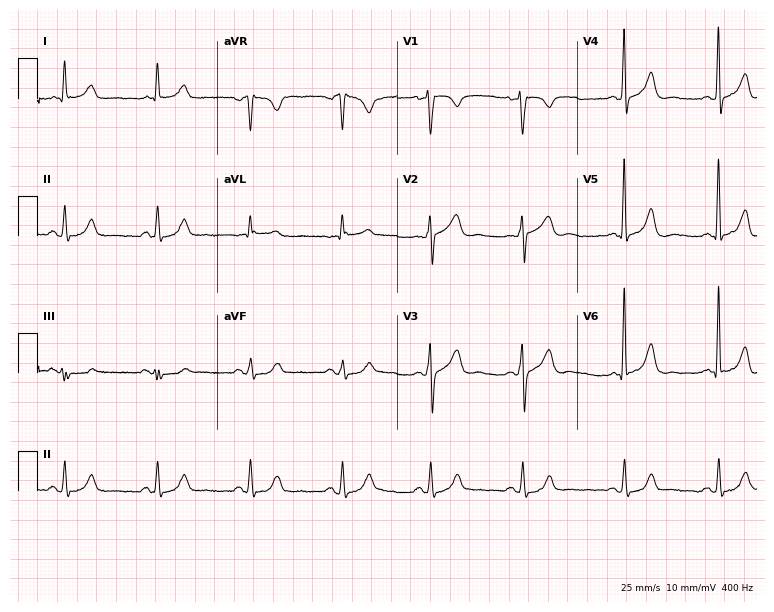
Resting 12-lead electrocardiogram. Patient: a 67-year-old male. Read as a normal ECG.